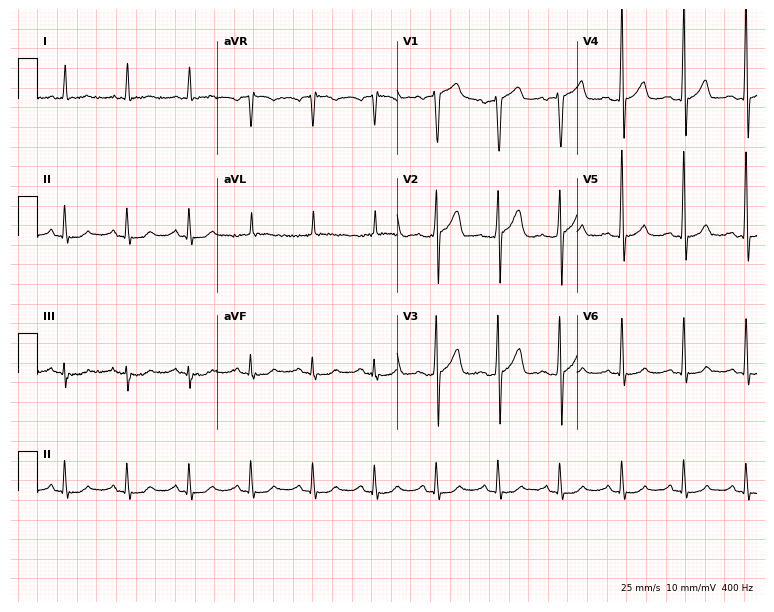
12-lead ECG from a man, 55 years old. Screened for six findings — first-degree AV block, right bundle branch block, left bundle branch block, sinus bradycardia, atrial fibrillation, sinus tachycardia — none is recorded. Only these six findings were labelled.